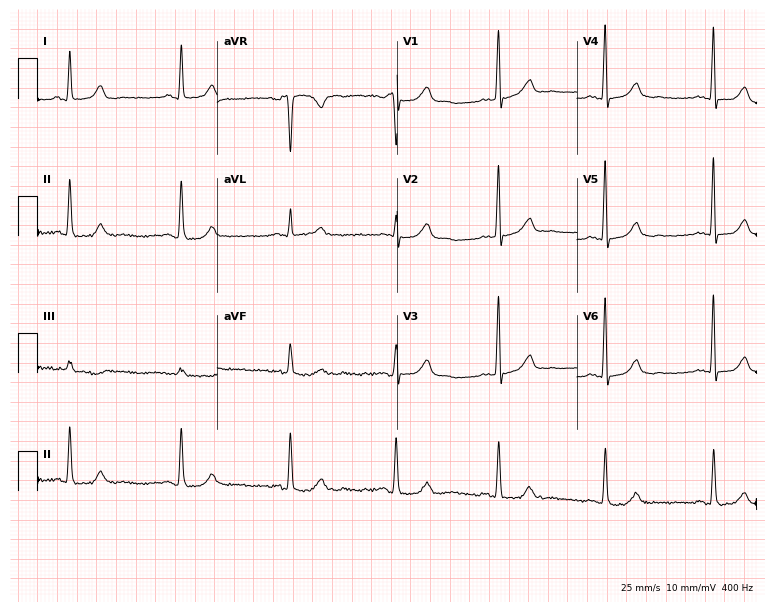
Standard 12-lead ECG recorded from a female patient, 39 years old (7.3-second recording at 400 Hz). None of these six findings is recorded: first-degree AV block, right bundle branch block, left bundle branch block, sinus bradycardia, atrial fibrillation, sinus tachycardia.